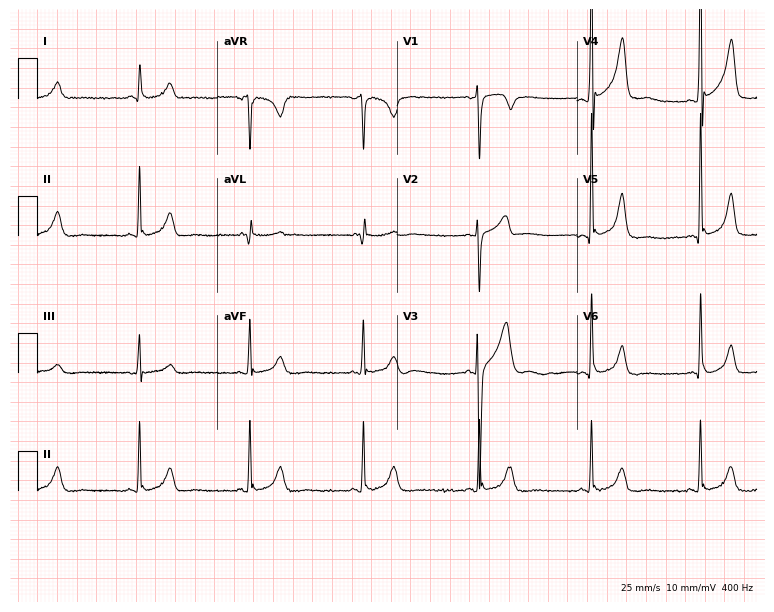
Standard 12-lead ECG recorded from a male, 46 years old. Read as a normal ECG.